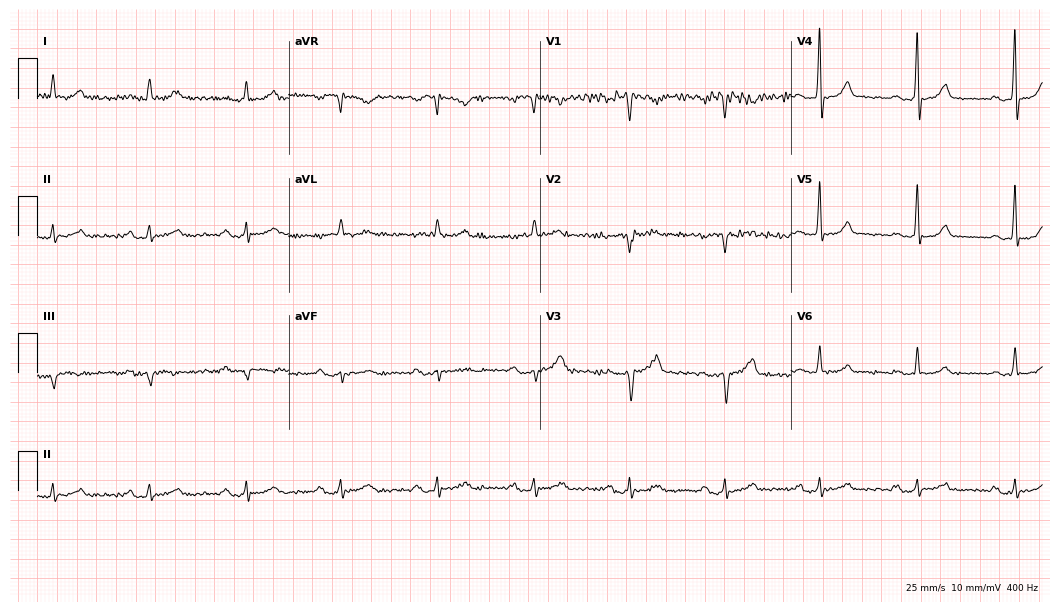
Electrocardiogram, a male, 69 years old. Overall reading on record: normal ECG.